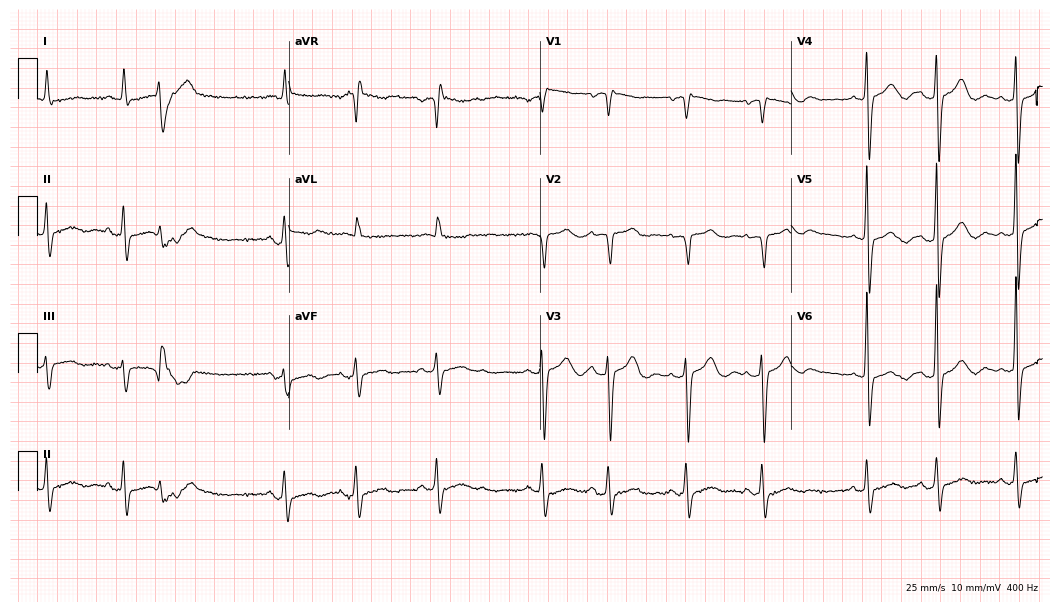
Resting 12-lead electrocardiogram. Patient: a 76-year-old woman. None of these six findings is recorded: first-degree AV block, right bundle branch block (RBBB), left bundle branch block (LBBB), sinus bradycardia, atrial fibrillation (AF), sinus tachycardia. Only these six findings were labelled.